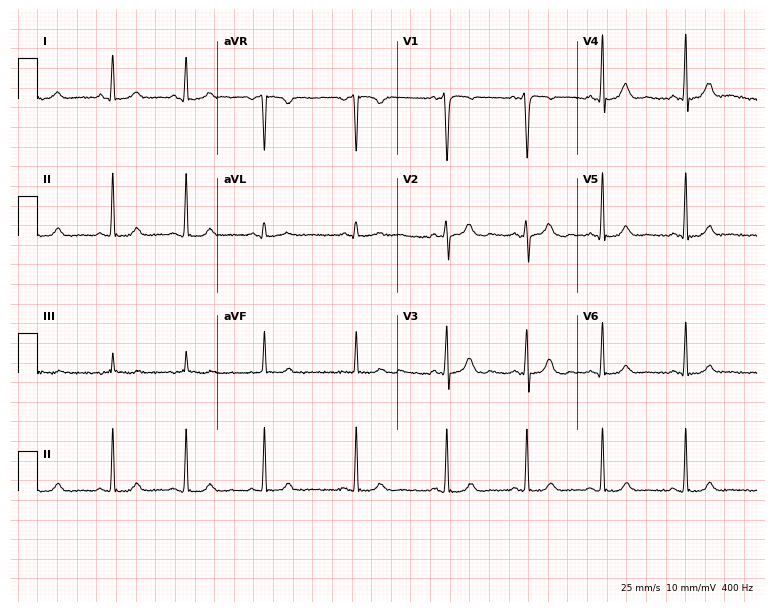
12-lead ECG from a 17-year-old female (7.3-second recording at 400 Hz). No first-degree AV block, right bundle branch block, left bundle branch block, sinus bradycardia, atrial fibrillation or sinus tachycardia recorded for this tracing. Other findings, if any, are not listed.